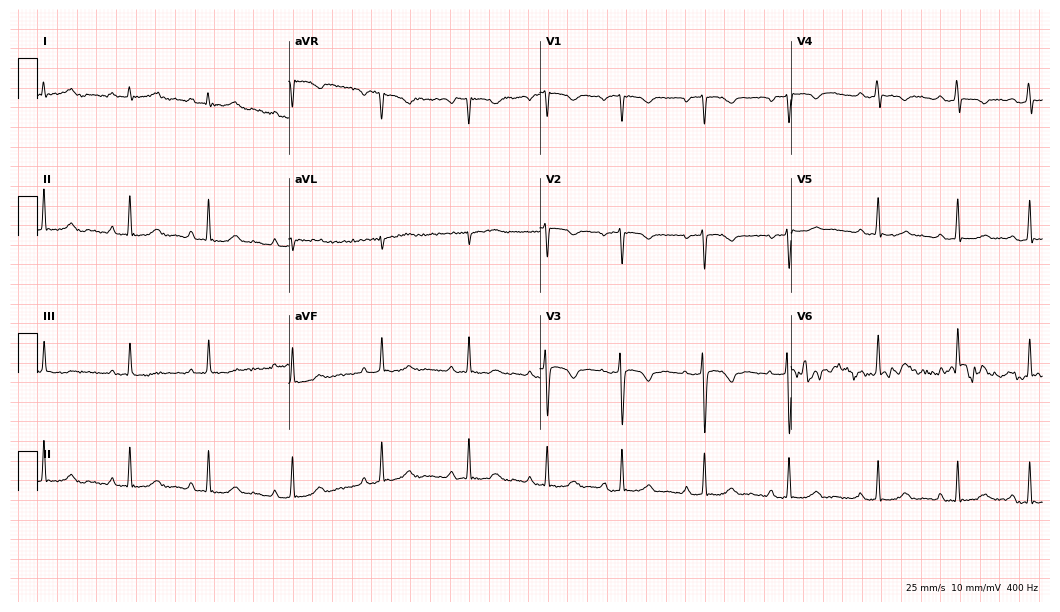
12-lead ECG from a 26-year-old female patient (10.2-second recording at 400 Hz). Recorded interpretation: within normal limits.